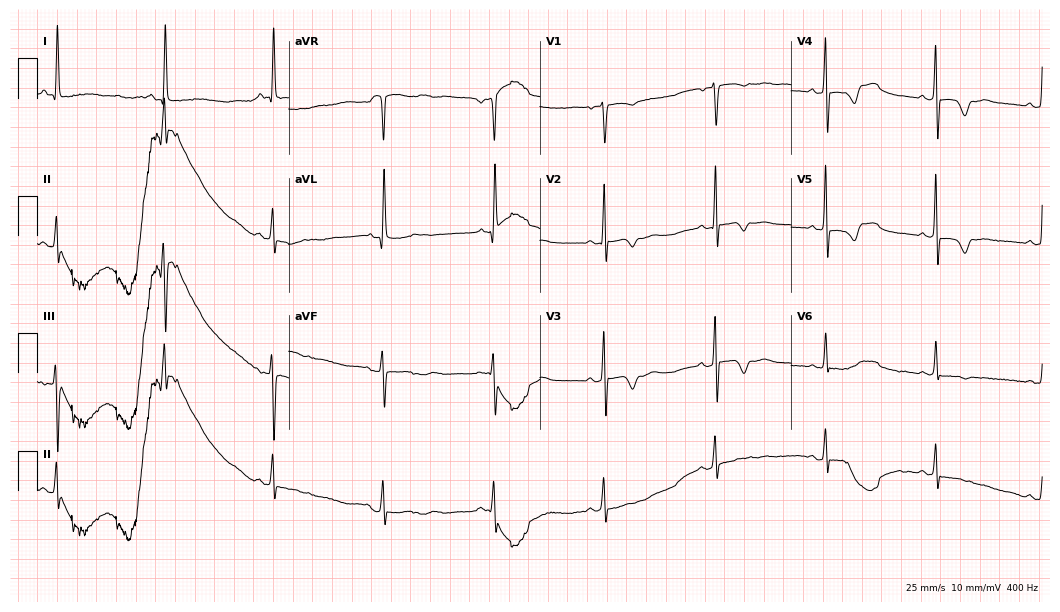
Electrocardiogram (10.2-second recording at 400 Hz), a 71-year-old woman. Of the six screened findings (first-degree AV block, right bundle branch block, left bundle branch block, sinus bradycardia, atrial fibrillation, sinus tachycardia), none is recorded.